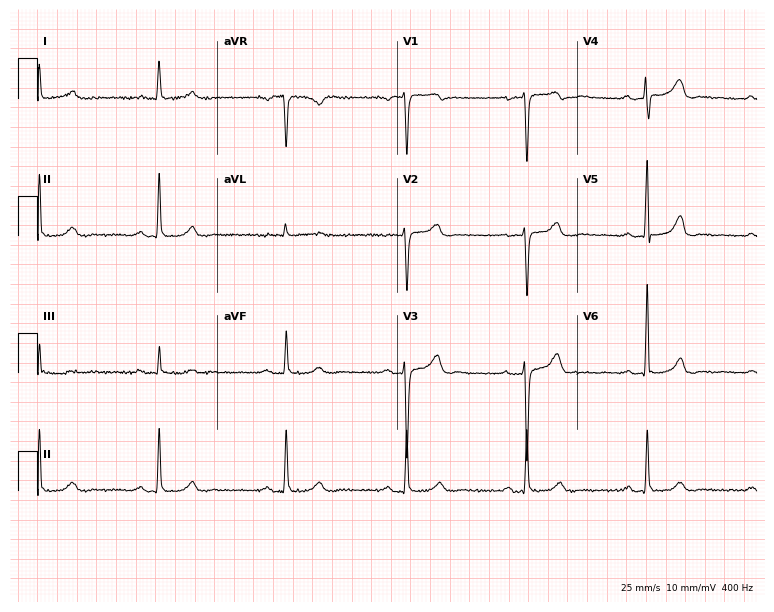
Resting 12-lead electrocardiogram (7.3-second recording at 400 Hz). Patient: a female, 53 years old. The tracing shows first-degree AV block, sinus bradycardia (a sinus rate of 50 beats per minute or less).